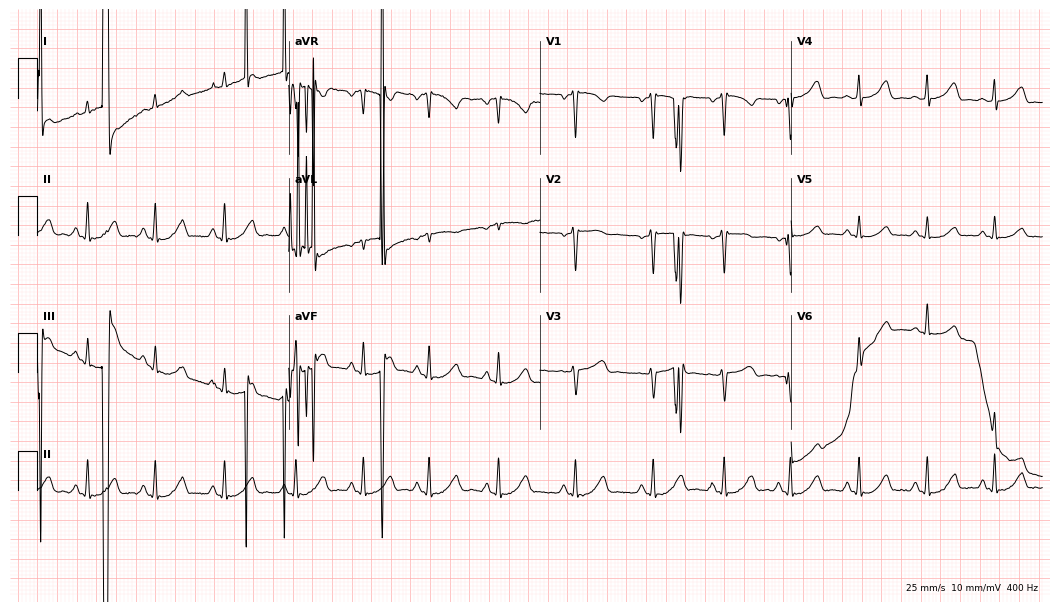
12-lead ECG (10.2-second recording at 400 Hz) from a 47-year-old woman. Screened for six findings — first-degree AV block, right bundle branch block (RBBB), left bundle branch block (LBBB), sinus bradycardia, atrial fibrillation (AF), sinus tachycardia — none is recorded. Other findings, if any, are not listed.